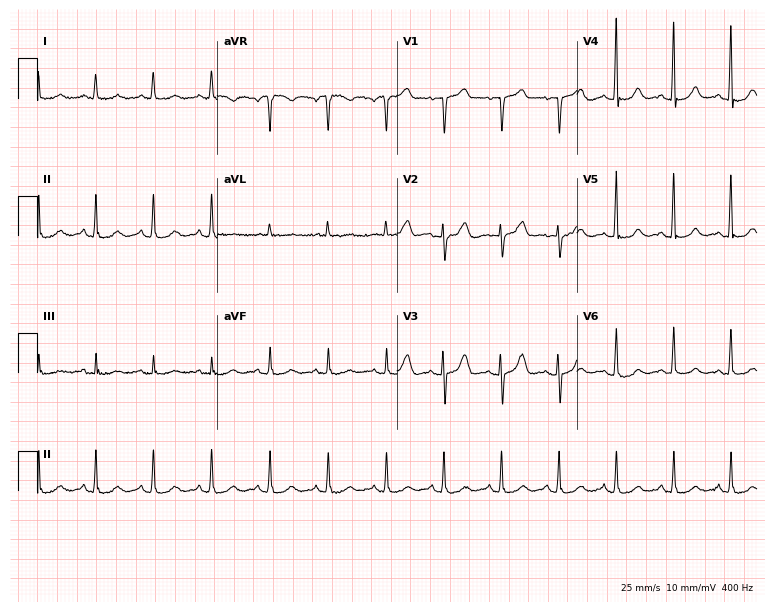
Resting 12-lead electrocardiogram. Patient: a female, 68 years old. Read as a normal ECG.